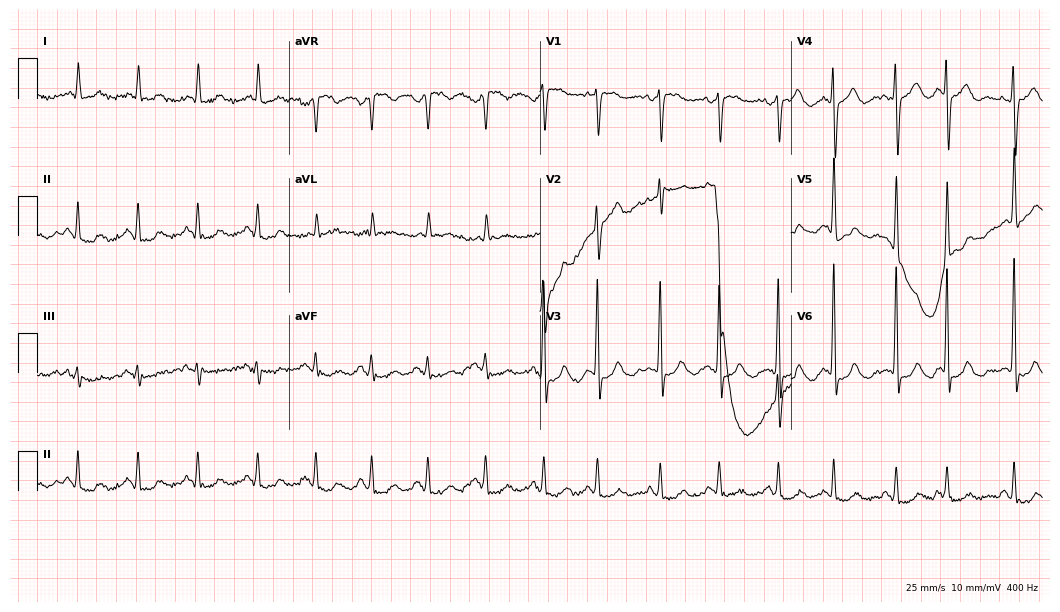
Resting 12-lead electrocardiogram. Patient: a female, 79 years old. None of these six findings is recorded: first-degree AV block, right bundle branch block, left bundle branch block, sinus bradycardia, atrial fibrillation, sinus tachycardia. Other findings, if any, are not listed.